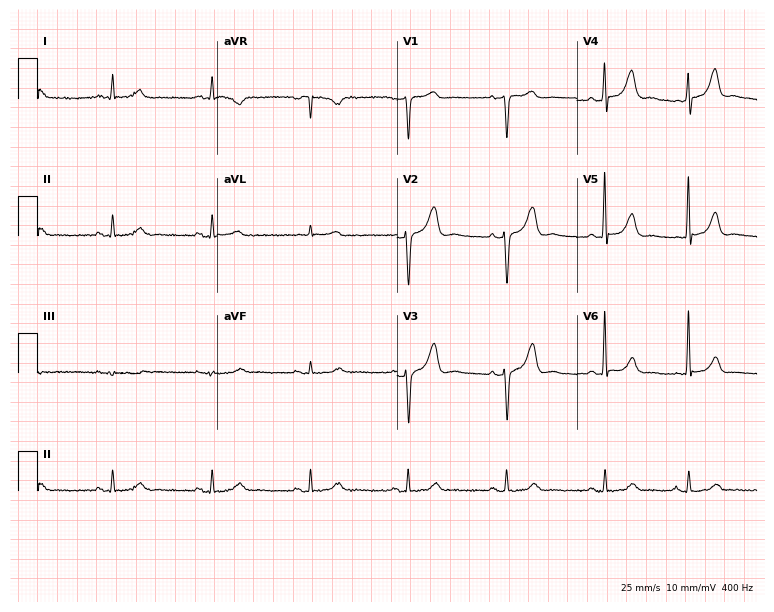
12-lead ECG from an 80-year-old male patient. Recorded interpretation: within normal limits.